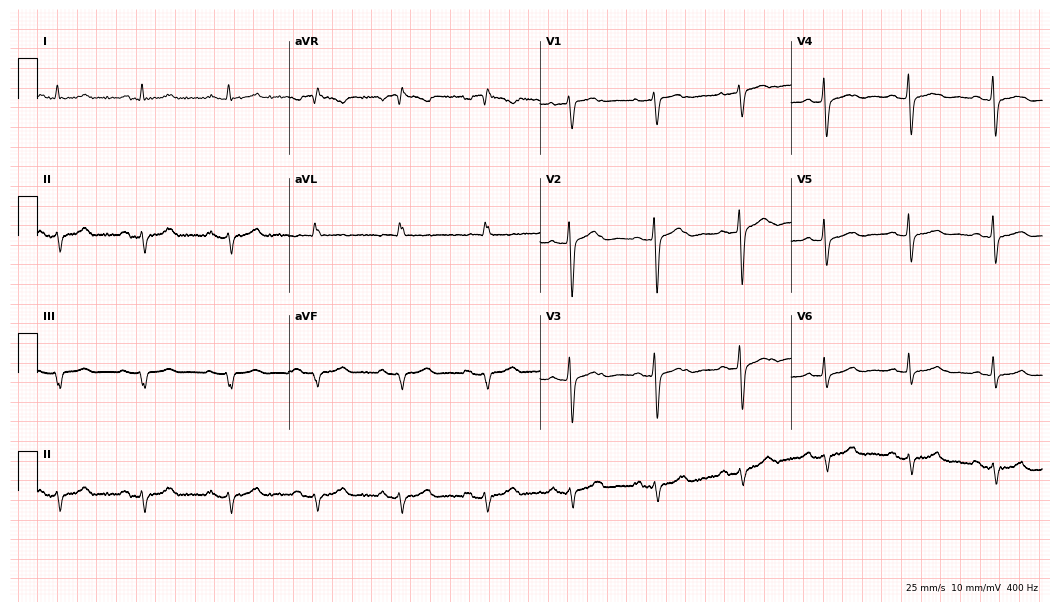
ECG — a woman, 63 years old. Screened for six findings — first-degree AV block, right bundle branch block (RBBB), left bundle branch block (LBBB), sinus bradycardia, atrial fibrillation (AF), sinus tachycardia — none is recorded.